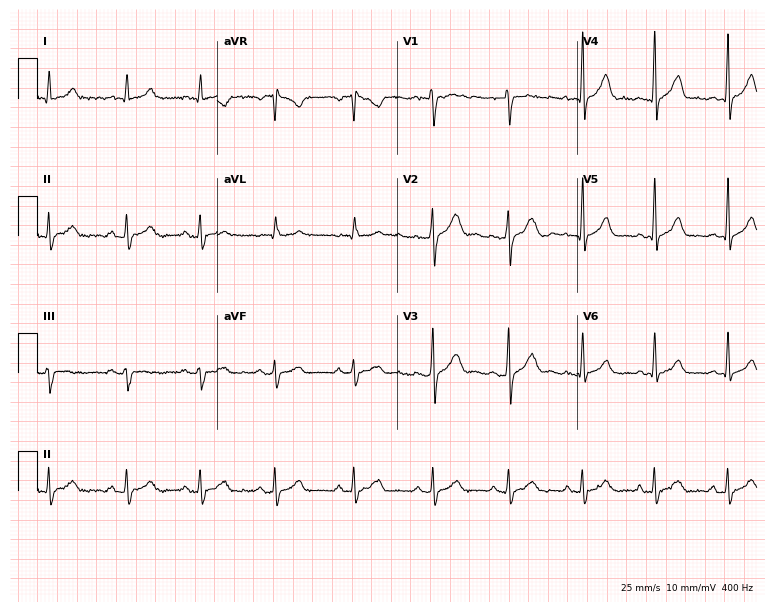
12-lead ECG from a 33-year-old male patient. Labelled as a normal ECG.